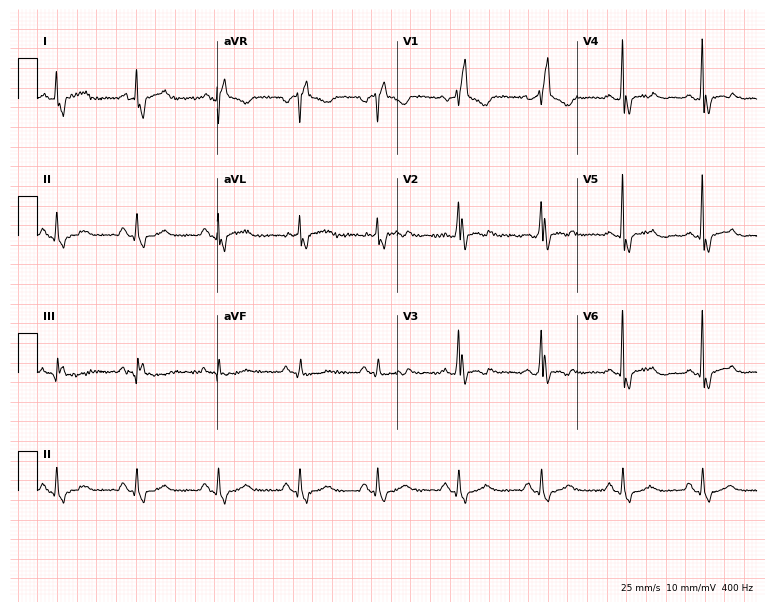
Resting 12-lead electrocardiogram (7.3-second recording at 400 Hz). Patient: a woman, 56 years old. The tracing shows right bundle branch block.